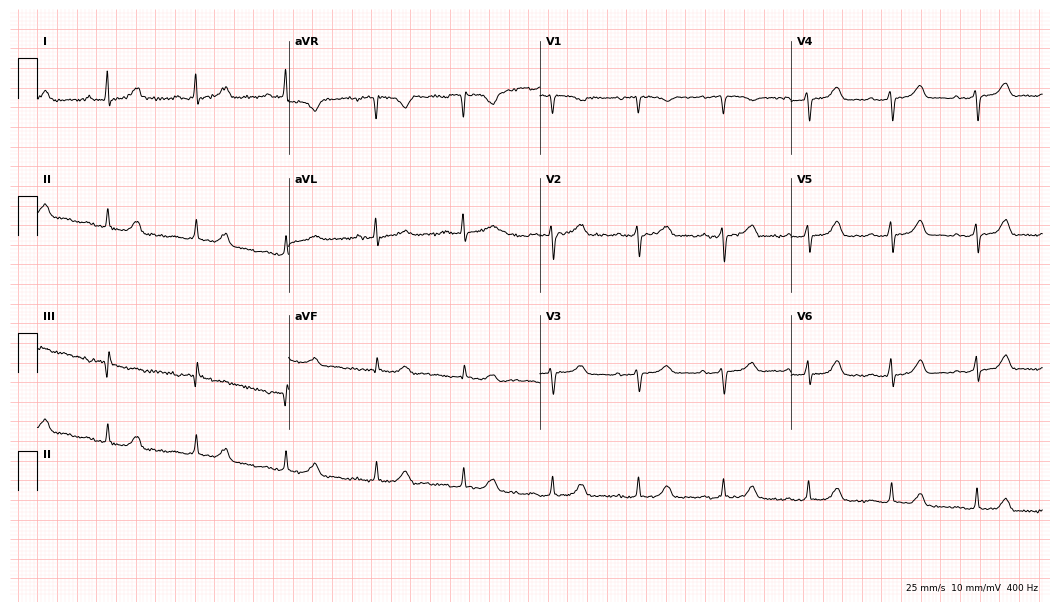
Standard 12-lead ECG recorded from a female, 68 years old (10.2-second recording at 400 Hz). Read as a normal ECG.